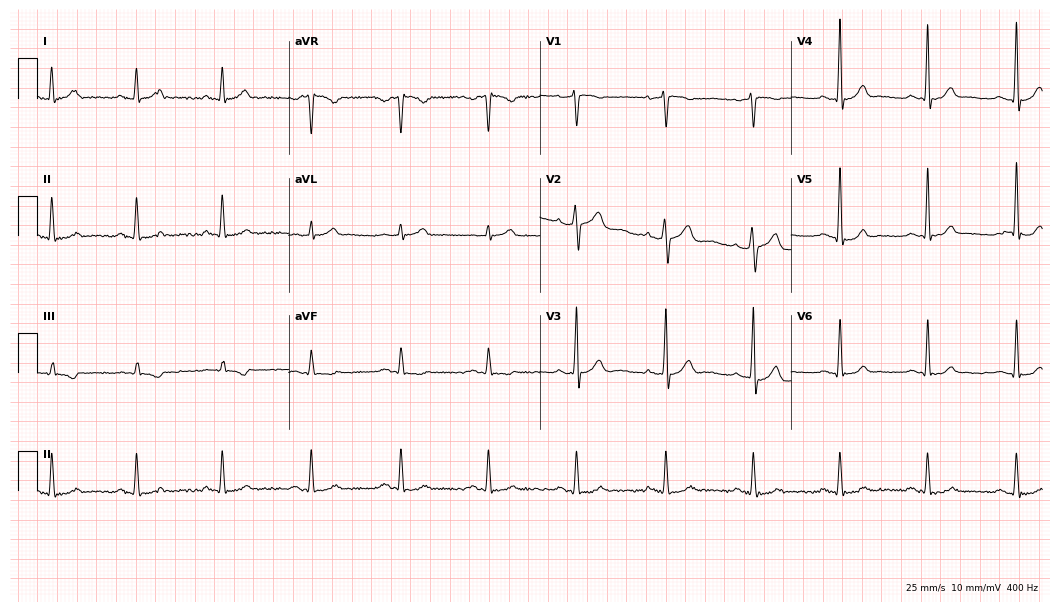
ECG — a man, 41 years old. Screened for six findings — first-degree AV block, right bundle branch block (RBBB), left bundle branch block (LBBB), sinus bradycardia, atrial fibrillation (AF), sinus tachycardia — none is recorded.